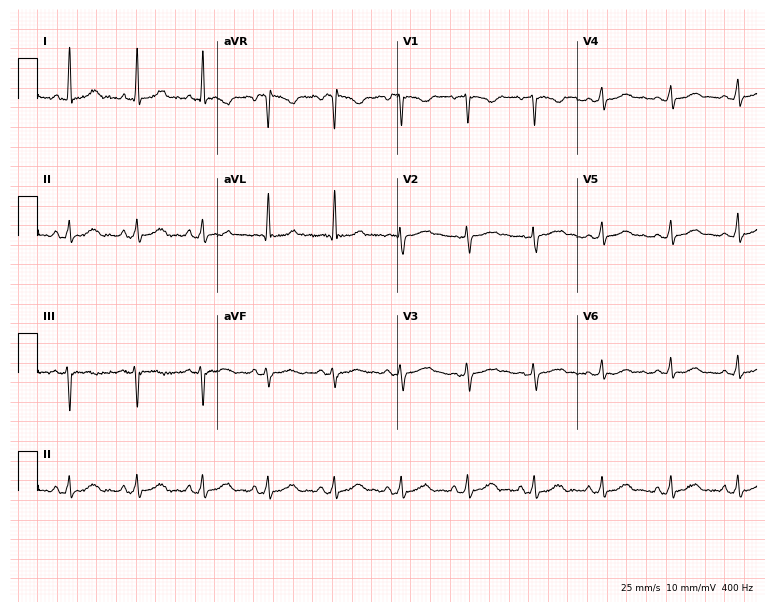
Standard 12-lead ECG recorded from a 47-year-old woman (7.3-second recording at 400 Hz). Read as a normal ECG.